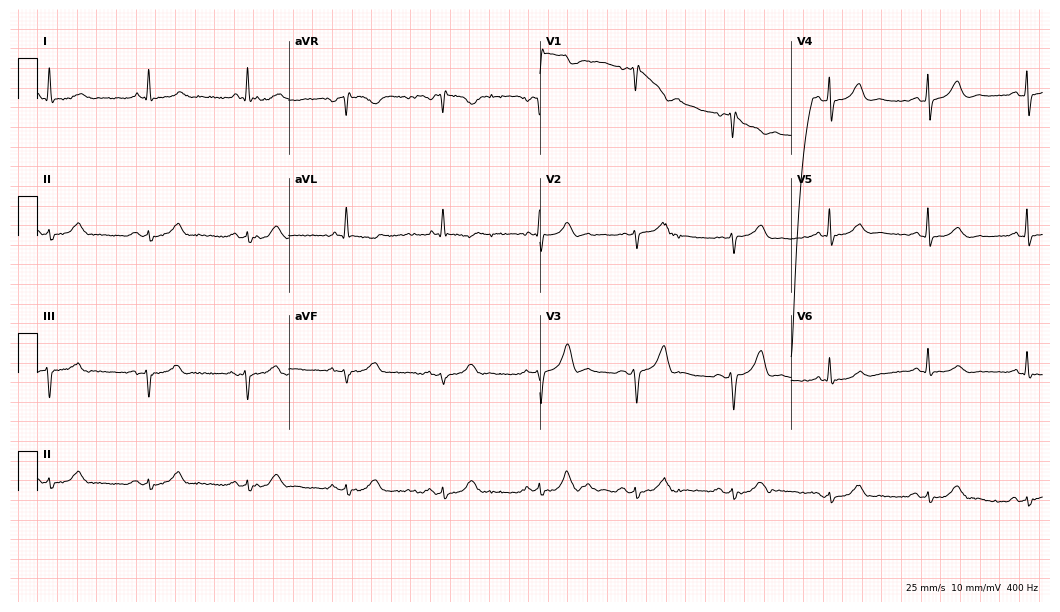
ECG — a male patient, 69 years old. Screened for six findings — first-degree AV block, right bundle branch block (RBBB), left bundle branch block (LBBB), sinus bradycardia, atrial fibrillation (AF), sinus tachycardia — none is recorded. Only these six findings were labelled.